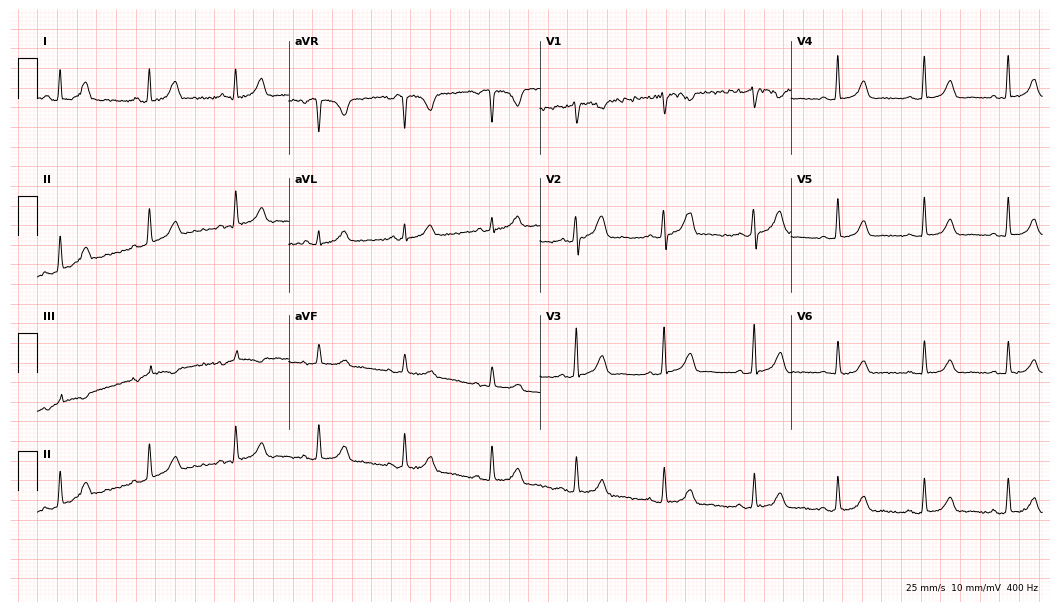
12-lead ECG from a 35-year-old female patient. Labelled as a normal ECG.